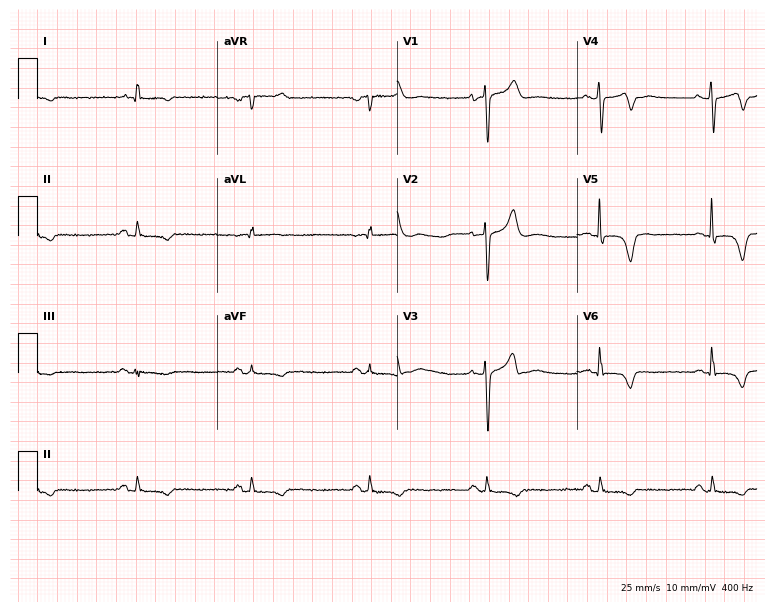
Standard 12-lead ECG recorded from a 64-year-old male. None of these six findings is recorded: first-degree AV block, right bundle branch block (RBBB), left bundle branch block (LBBB), sinus bradycardia, atrial fibrillation (AF), sinus tachycardia. Findings outside these six are not listed.